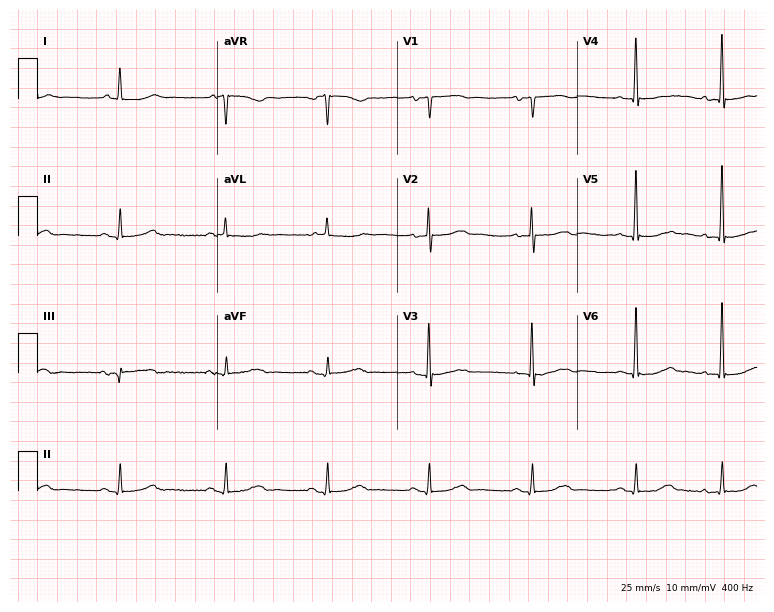
12-lead ECG from an 84-year-old female patient. No first-degree AV block, right bundle branch block, left bundle branch block, sinus bradycardia, atrial fibrillation or sinus tachycardia recorded for this tracing. Only these six findings were labelled.